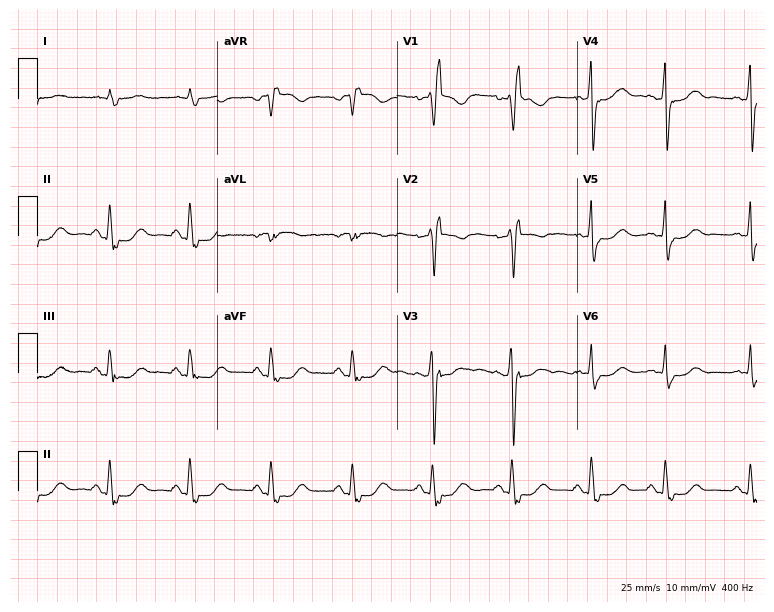
ECG — a man, 80 years old. Findings include right bundle branch block (RBBB).